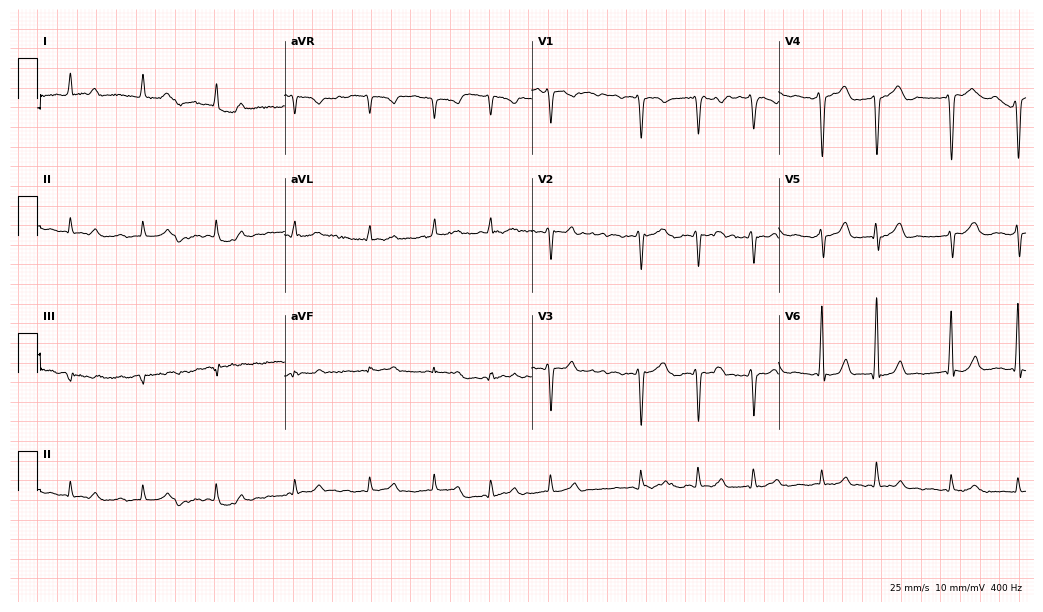
12-lead ECG (10.1-second recording at 400 Hz) from a 50-year-old man. Findings include atrial fibrillation.